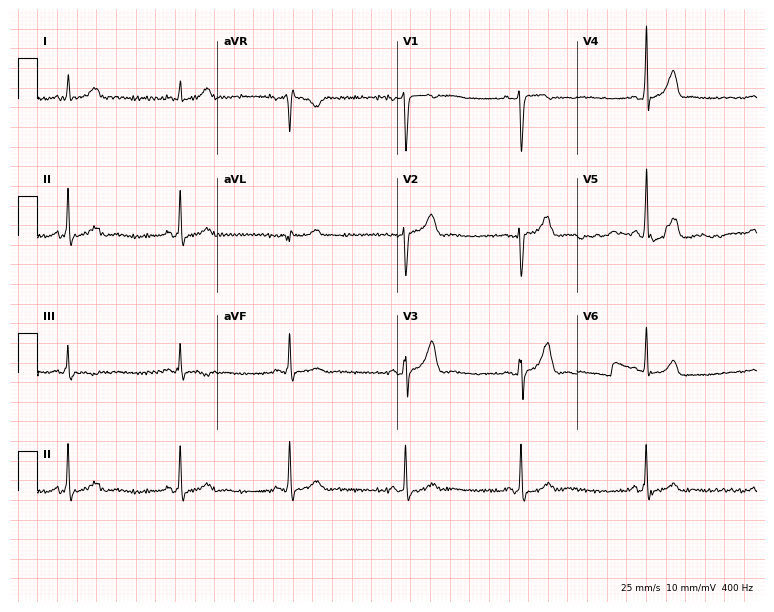
Standard 12-lead ECG recorded from a 24-year-old male. None of these six findings is recorded: first-degree AV block, right bundle branch block, left bundle branch block, sinus bradycardia, atrial fibrillation, sinus tachycardia. Findings outside these six are not listed.